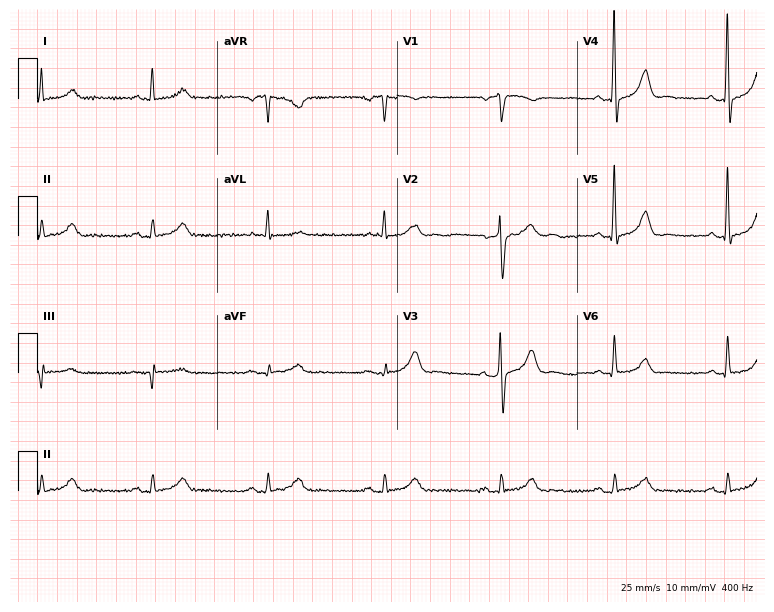
Standard 12-lead ECG recorded from a male, 66 years old. Read as a normal ECG.